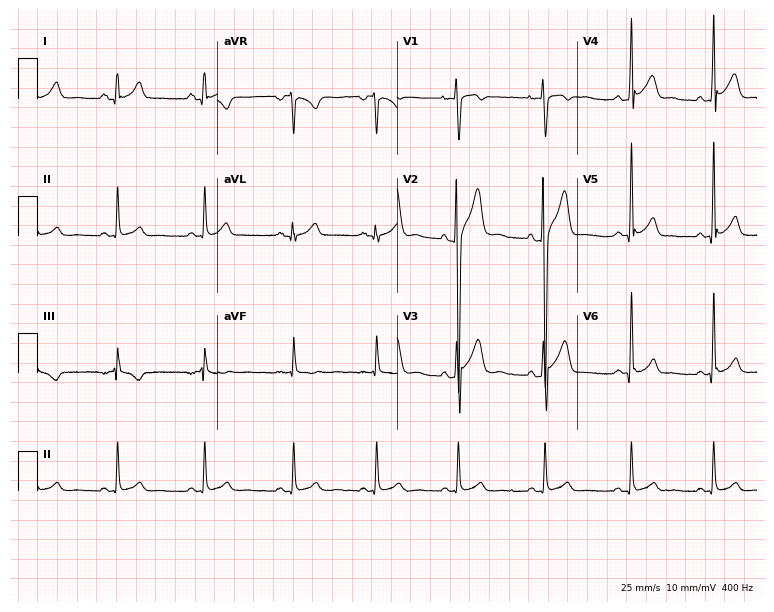
Electrocardiogram (7.3-second recording at 400 Hz), a male patient, 26 years old. Of the six screened findings (first-degree AV block, right bundle branch block, left bundle branch block, sinus bradycardia, atrial fibrillation, sinus tachycardia), none is recorded.